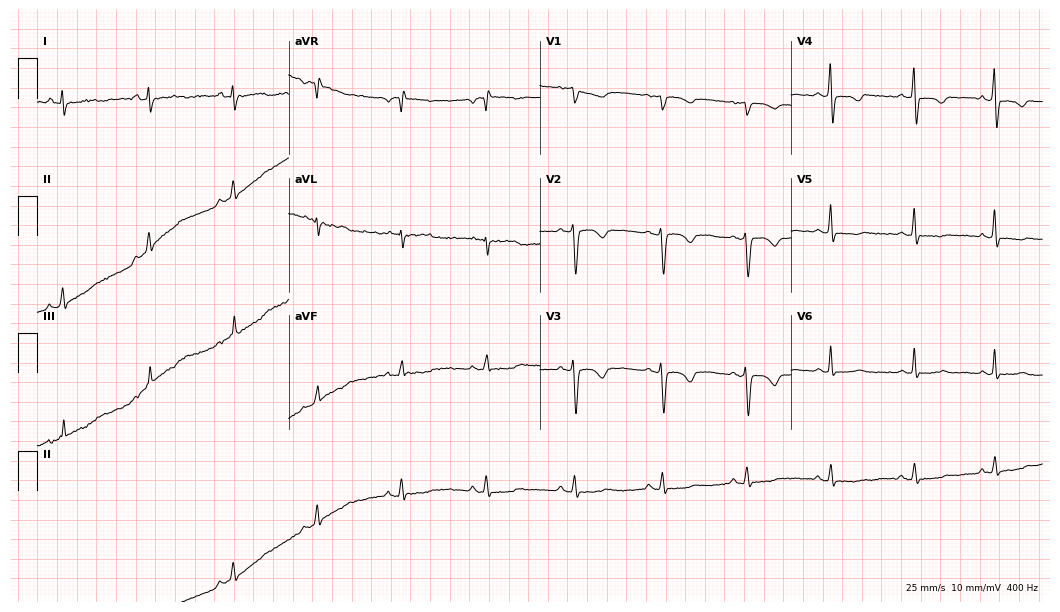
Standard 12-lead ECG recorded from a 50-year-old woman (10.2-second recording at 400 Hz). None of these six findings is recorded: first-degree AV block, right bundle branch block, left bundle branch block, sinus bradycardia, atrial fibrillation, sinus tachycardia. Findings outside these six are not listed.